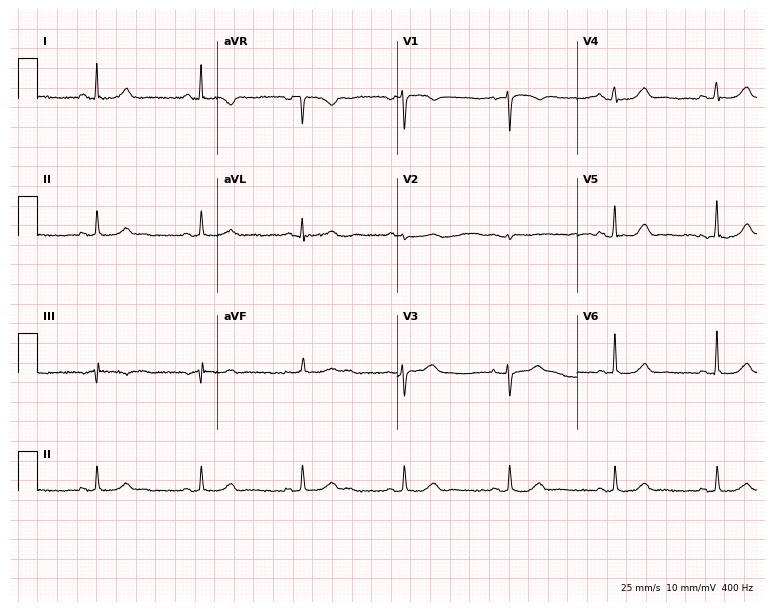
Resting 12-lead electrocardiogram (7.3-second recording at 400 Hz). Patient: a woman, 47 years old. None of these six findings is recorded: first-degree AV block, right bundle branch block, left bundle branch block, sinus bradycardia, atrial fibrillation, sinus tachycardia. Other findings, if any, are not listed.